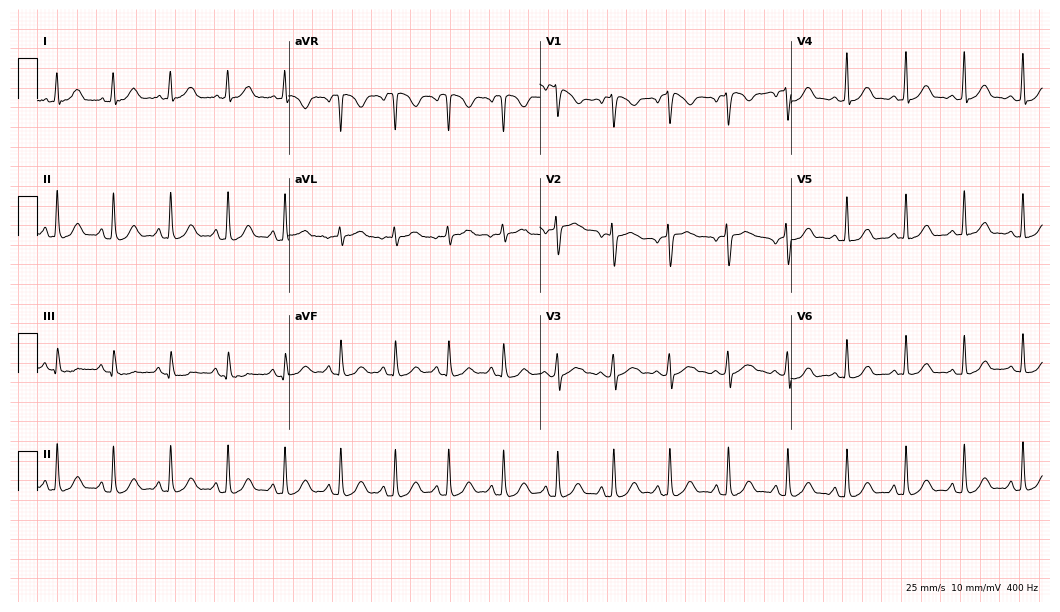
ECG — a female, 21 years old. Findings include sinus tachycardia (a sinus rate of 100 beats per minute or more).